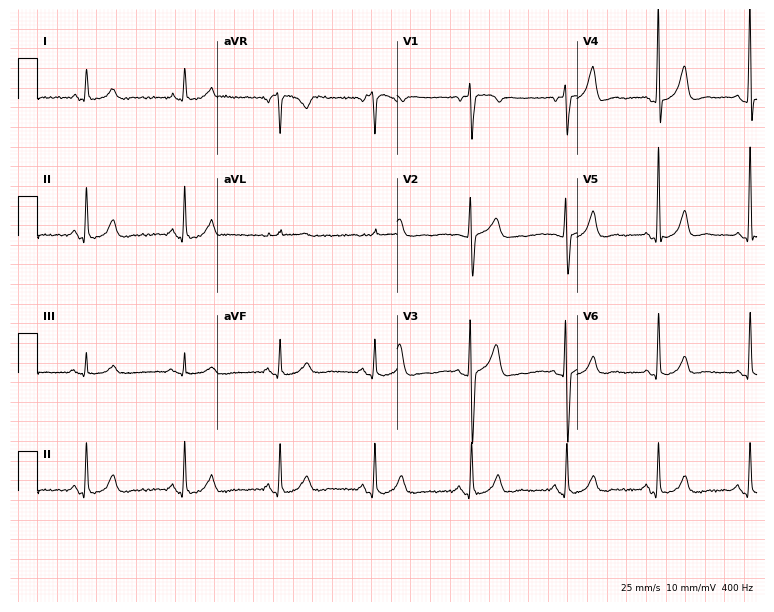
Electrocardiogram (7.3-second recording at 400 Hz), a male, 67 years old. Overall reading on record: normal ECG.